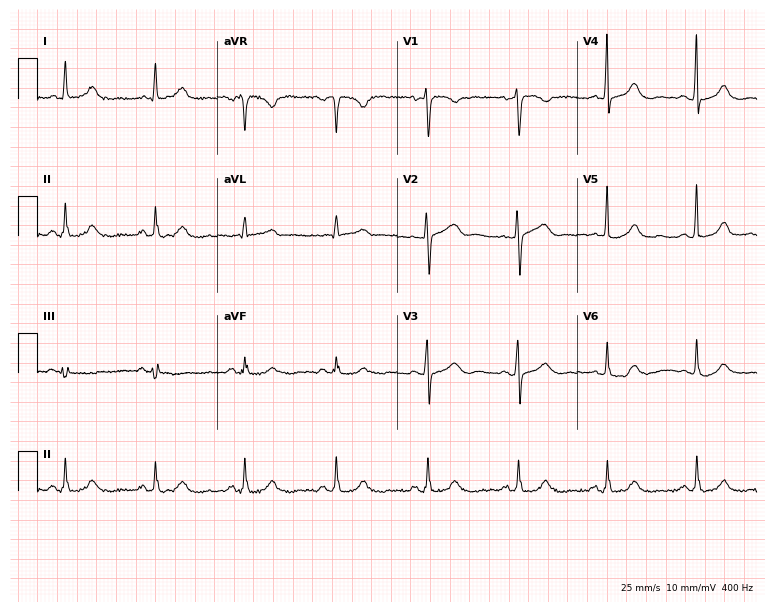
Electrocardiogram, a 58-year-old woman. Of the six screened findings (first-degree AV block, right bundle branch block (RBBB), left bundle branch block (LBBB), sinus bradycardia, atrial fibrillation (AF), sinus tachycardia), none is recorded.